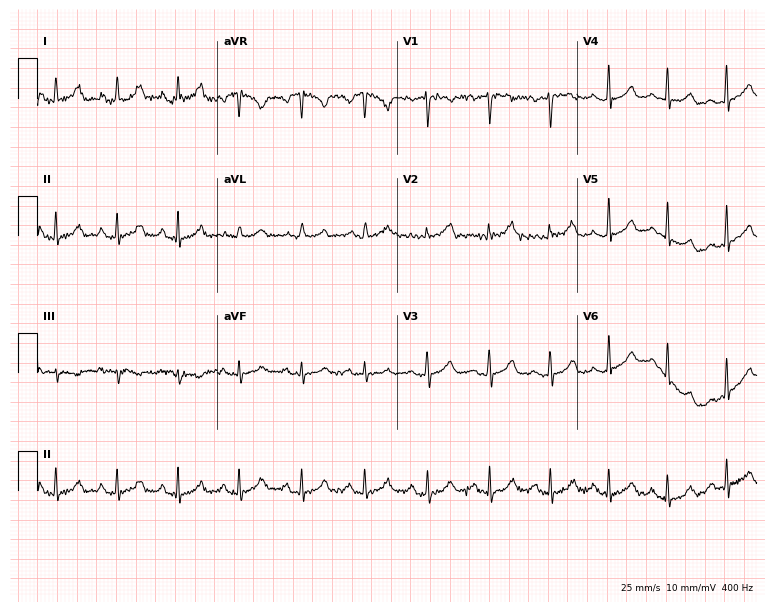
12-lead ECG from a 39-year-old female. Labelled as a normal ECG.